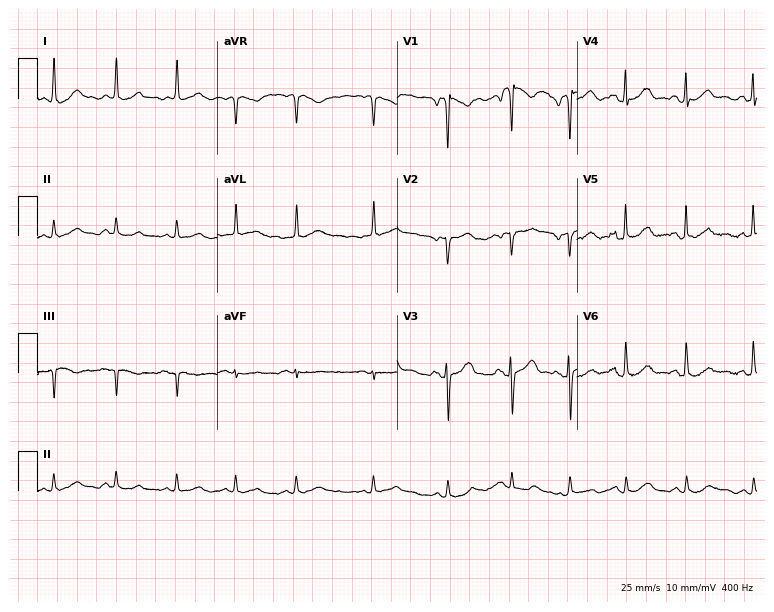
12-lead ECG from a male patient, 27 years old (7.3-second recording at 400 Hz). No first-degree AV block, right bundle branch block (RBBB), left bundle branch block (LBBB), sinus bradycardia, atrial fibrillation (AF) or sinus tachycardia recorded for this tracing.